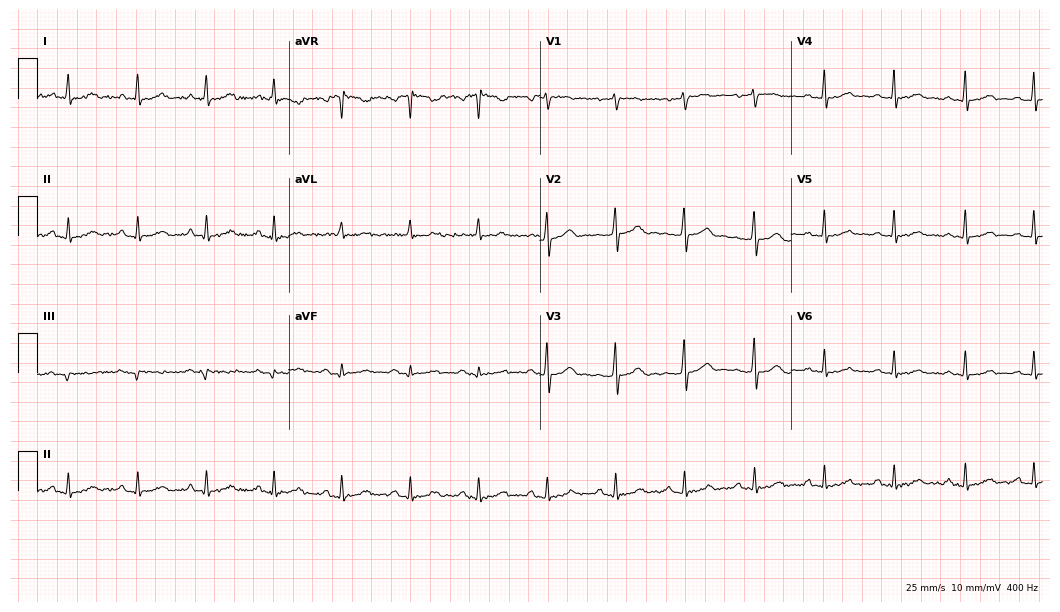
Electrocardiogram (10.2-second recording at 400 Hz), a woman, 60 years old. Overall reading on record: normal ECG.